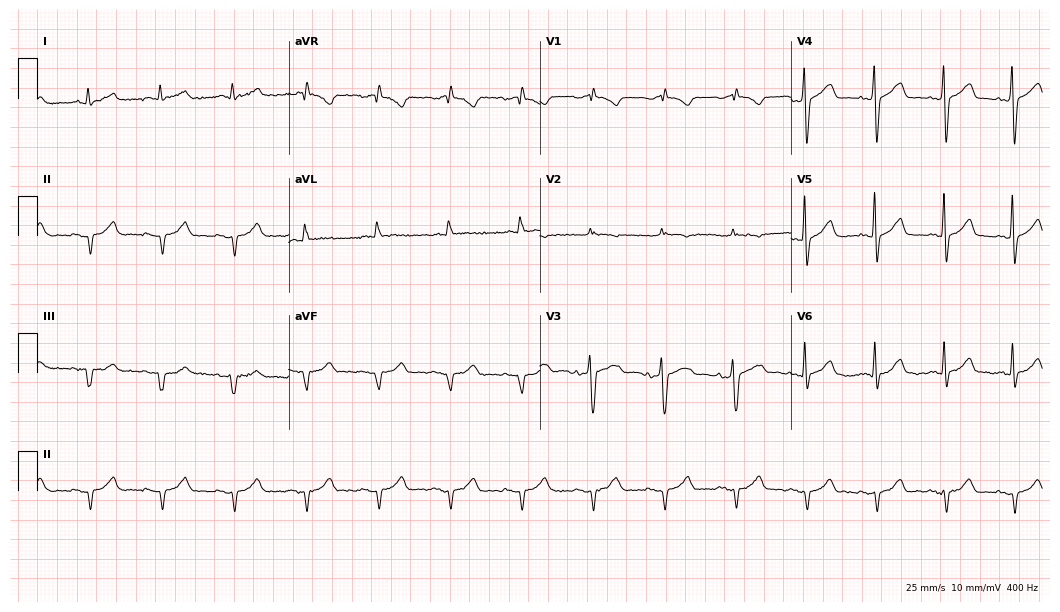
ECG (10.2-second recording at 400 Hz) — a man, 80 years old. Screened for six findings — first-degree AV block, right bundle branch block, left bundle branch block, sinus bradycardia, atrial fibrillation, sinus tachycardia — none is recorded. Other findings, if any, are not listed.